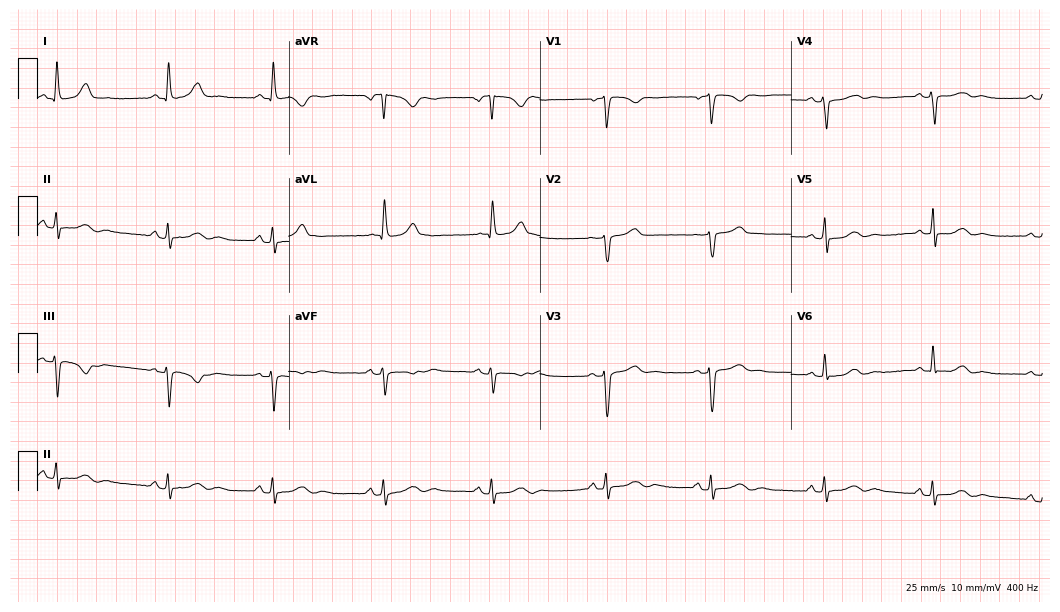
12-lead ECG from a 43-year-old woman. No first-degree AV block, right bundle branch block (RBBB), left bundle branch block (LBBB), sinus bradycardia, atrial fibrillation (AF) or sinus tachycardia recorded for this tracing.